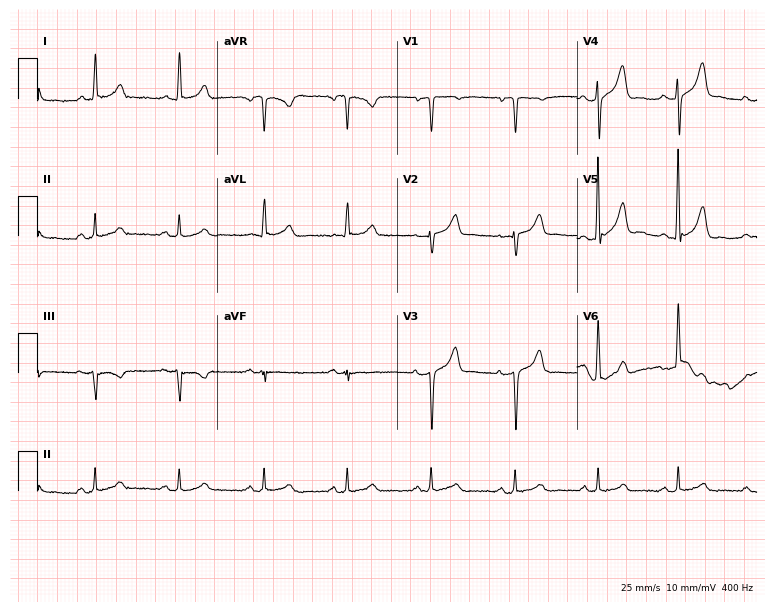
Resting 12-lead electrocardiogram (7.3-second recording at 400 Hz). Patient: a 46-year-old man. None of these six findings is recorded: first-degree AV block, right bundle branch block, left bundle branch block, sinus bradycardia, atrial fibrillation, sinus tachycardia.